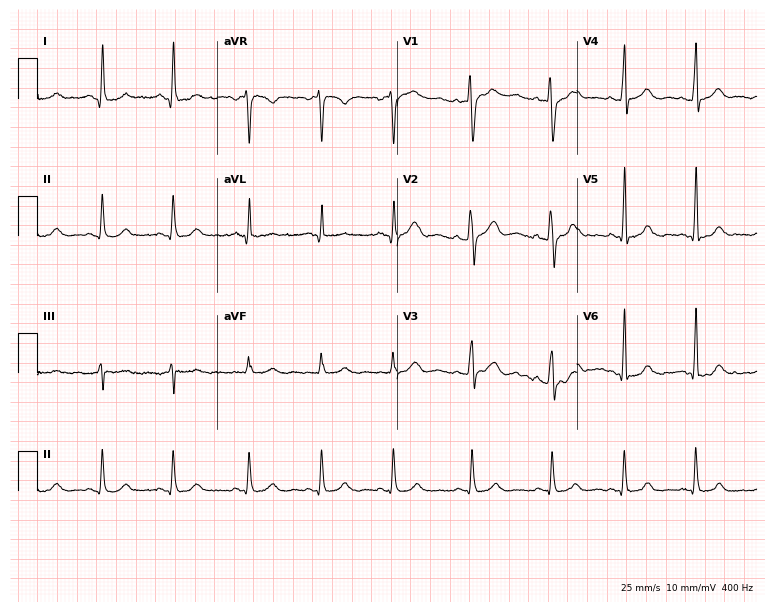
Resting 12-lead electrocardiogram (7.3-second recording at 400 Hz). Patient: a female, 33 years old. None of these six findings is recorded: first-degree AV block, right bundle branch block, left bundle branch block, sinus bradycardia, atrial fibrillation, sinus tachycardia. Findings outside these six are not listed.